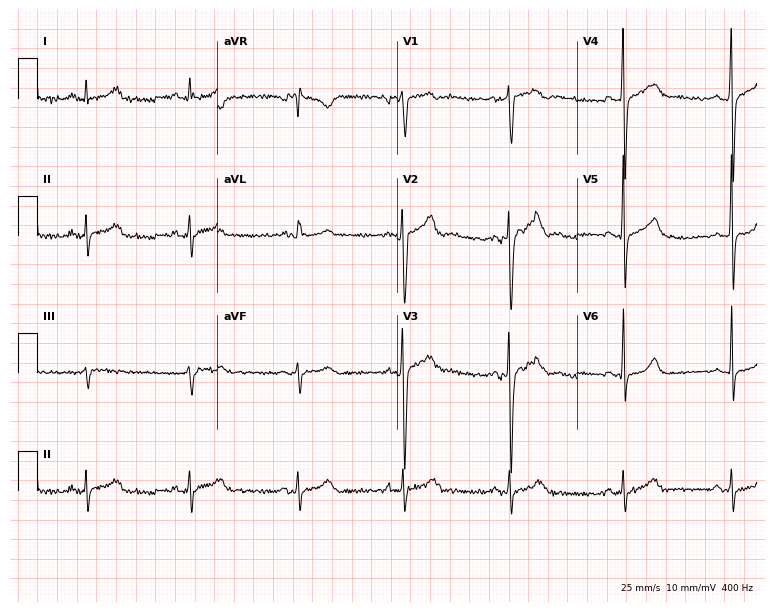
Resting 12-lead electrocardiogram. Patient: a 21-year-old man. Read as a normal ECG.